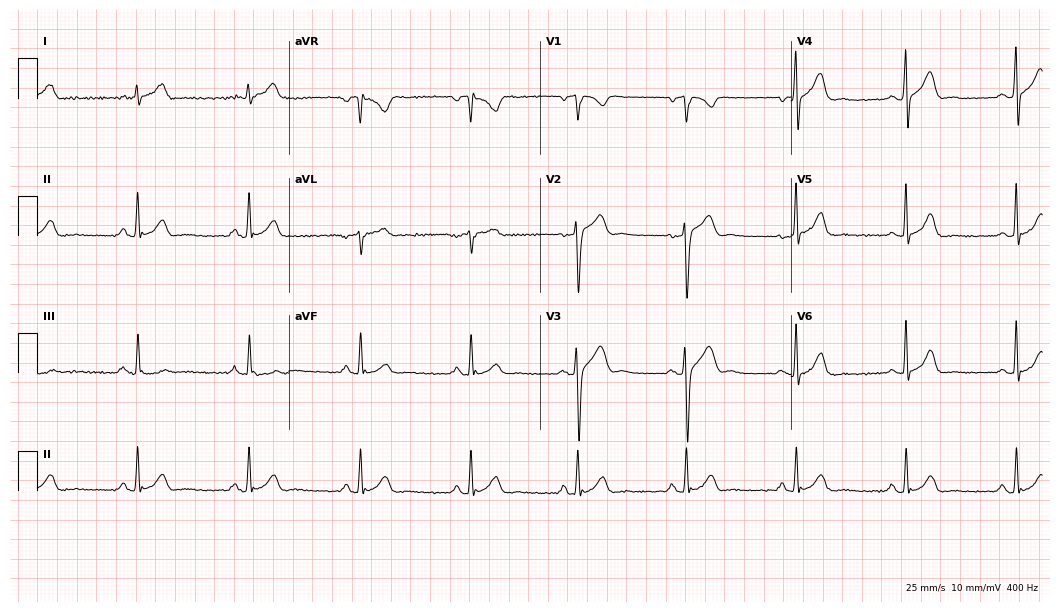
12-lead ECG (10.2-second recording at 400 Hz) from a 39-year-old woman. Screened for six findings — first-degree AV block, right bundle branch block, left bundle branch block, sinus bradycardia, atrial fibrillation, sinus tachycardia — none is recorded.